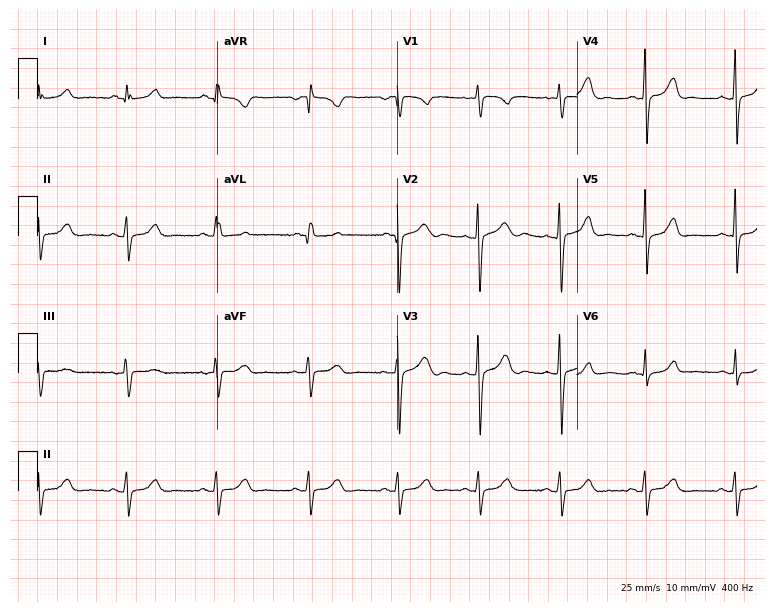
12-lead ECG from a woman, 19 years old. No first-degree AV block, right bundle branch block, left bundle branch block, sinus bradycardia, atrial fibrillation or sinus tachycardia recorded for this tracing. Other findings, if any, are not listed.